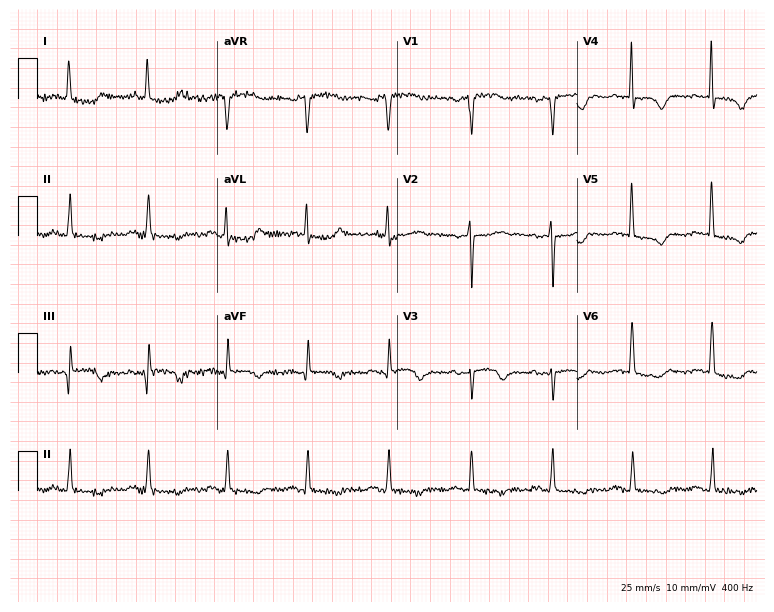
12-lead ECG (7.3-second recording at 400 Hz) from an 80-year-old woman. Screened for six findings — first-degree AV block, right bundle branch block (RBBB), left bundle branch block (LBBB), sinus bradycardia, atrial fibrillation (AF), sinus tachycardia — none is recorded.